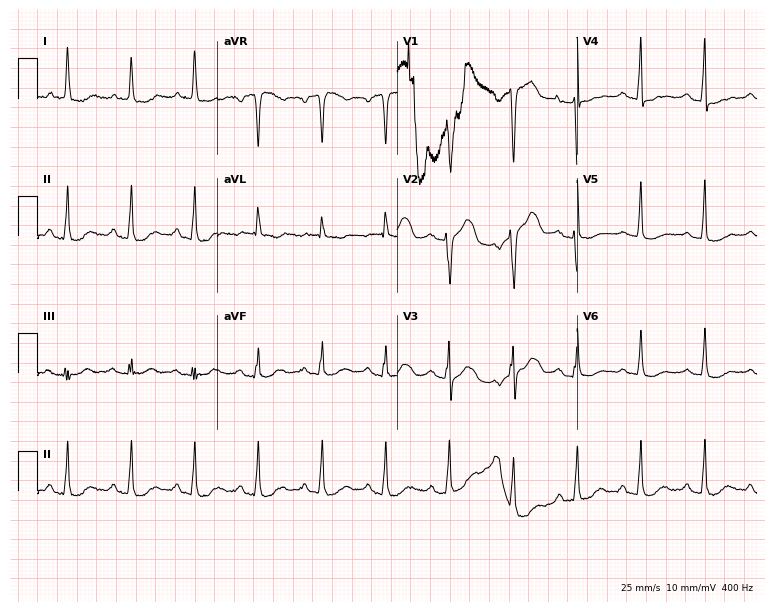
12-lead ECG from a woman, 78 years old. No first-degree AV block, right bundle branch block (RBBB), left bundle branch block (LBBB), sinus bradycardia, atrial fibrillation (AF) or sinus tachycardia recorded for this tracing.